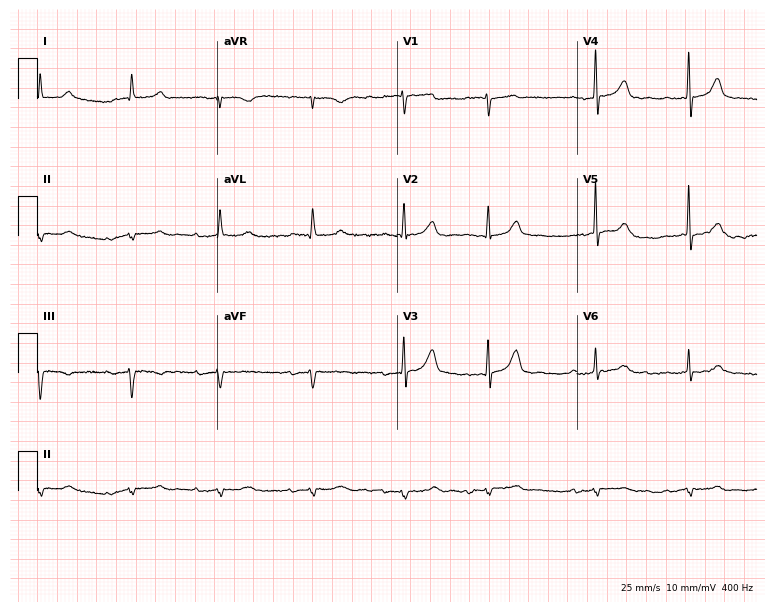
12-lead ECG from a 74-year-old male. Screened for six findings — first-degree AV block, right bundle branch block (RBBB), left bundle branch block (LBBB), sinus bradycardia, atrial fibrillation (AF), sinus tachycardia — none is recorded. Only these six findings were labelled.